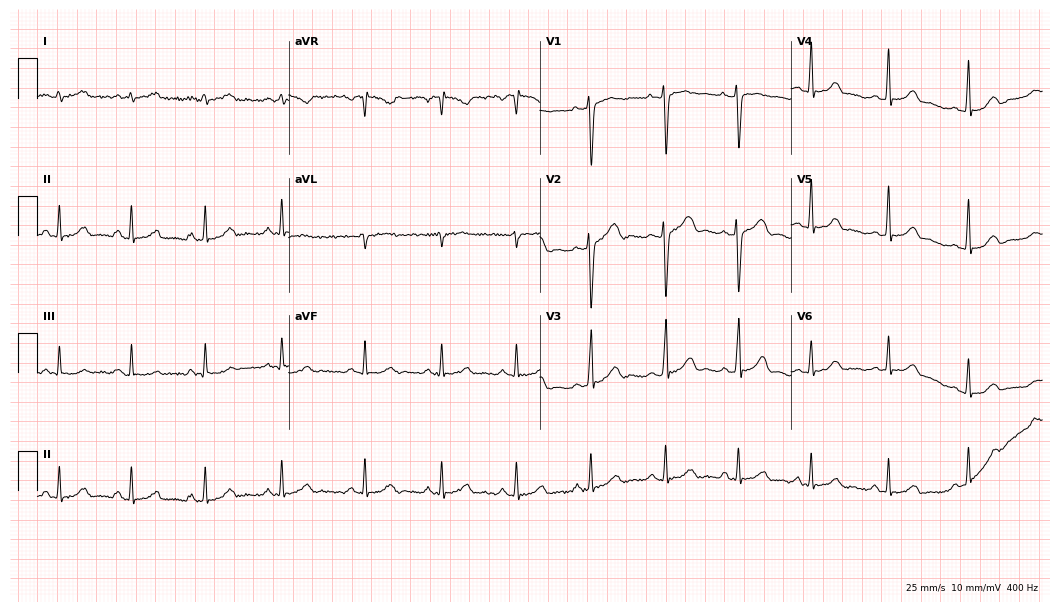
Resting 12-lead electrocardiogram (10.2-second recording at 400 Hz). Patient: a female, 22 years old. Read as a normal ECG.